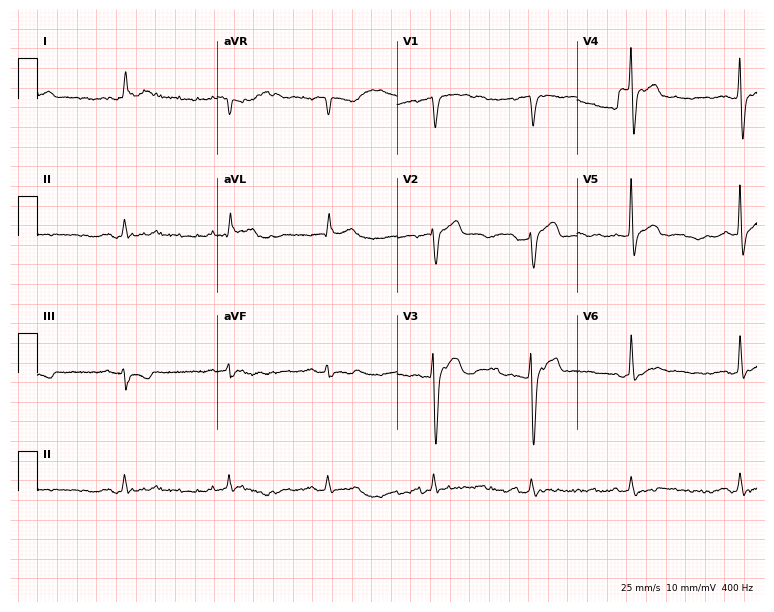
Resting 12-lead electrocardiogram (7.3-second recording at 400 Hz). Patient: a man, 86 years old. Read as a normal ECG.